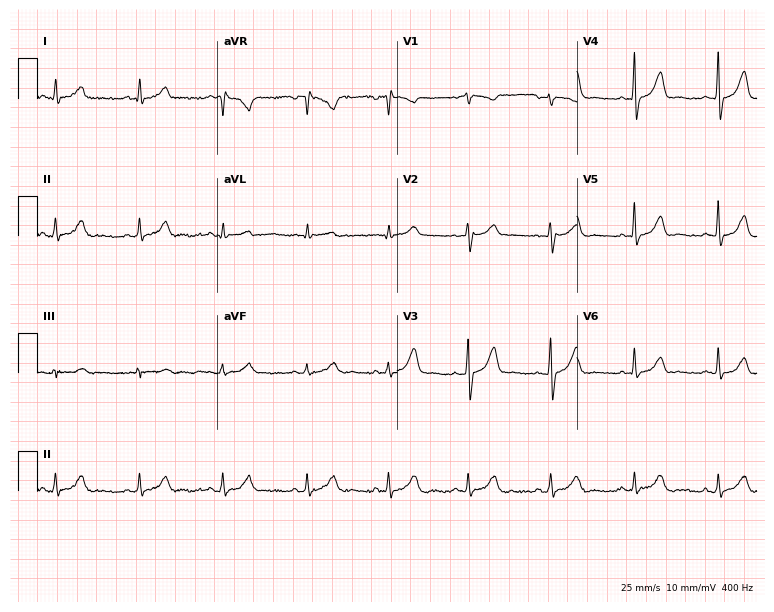
12-lead ECG (7.3-second recording at 400 Hz) from a female patient, 58 years old. Labelled as a normal ECG.